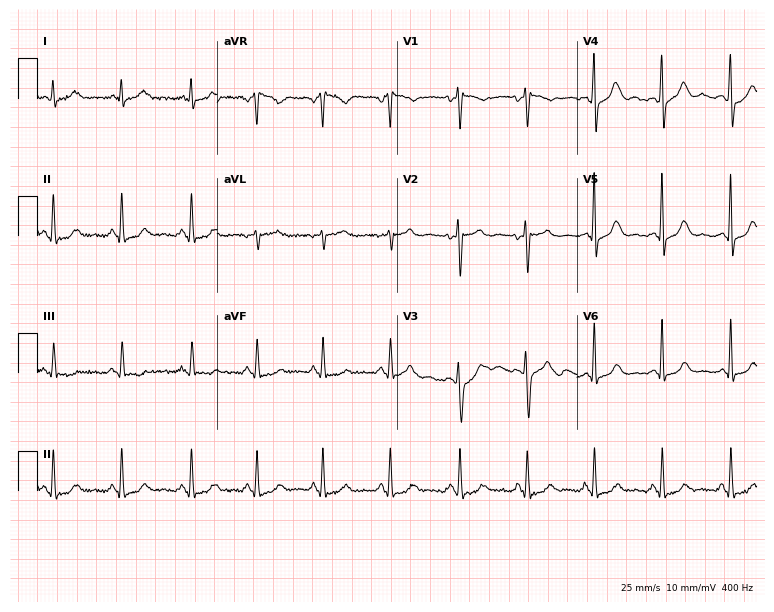
Electrocardiogram (7.3-second recording at 400 Hz), a 35-year-old woman. Overall reading on record: normal ECG.